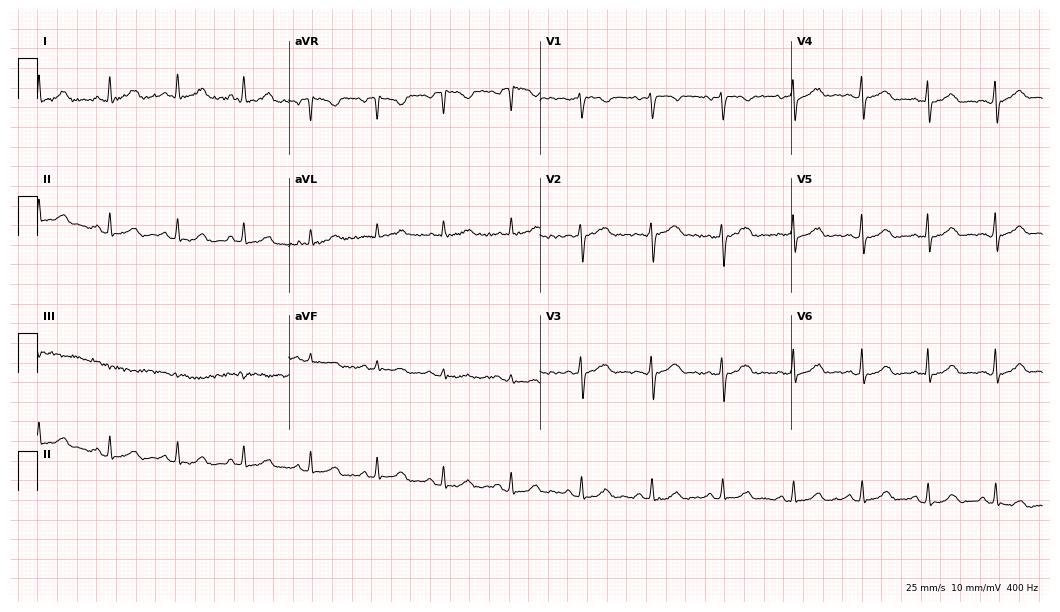
Standard 12-lead ECG recorded from a woman, 52 years old. Read as a normal ECG.